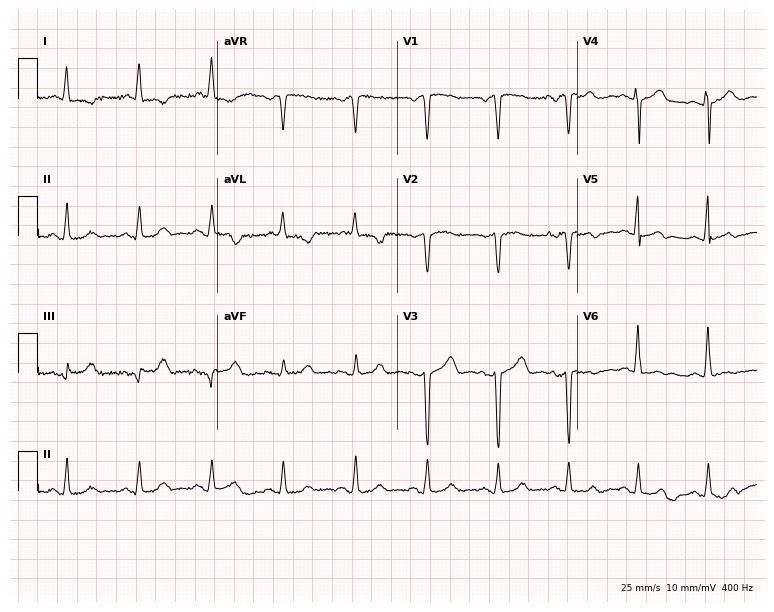
12-lead ECG from a woman, 59 years old. No first-degree AV block, right bundle branch block (RBBB), left bundle branch block (LBBB), sinus bradycardia, atrial fibrillation (AF) or sinus tachycardia recorded for this tracing.